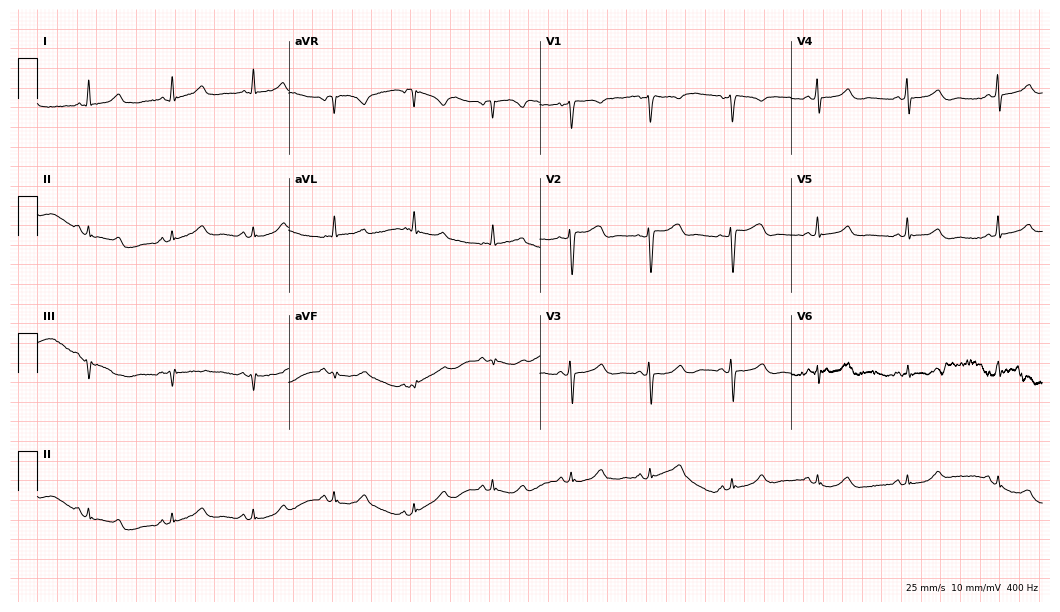
Resting 12-lead electrocardiogram. Patient: a female, 59 years old. Read as a normal ECG.